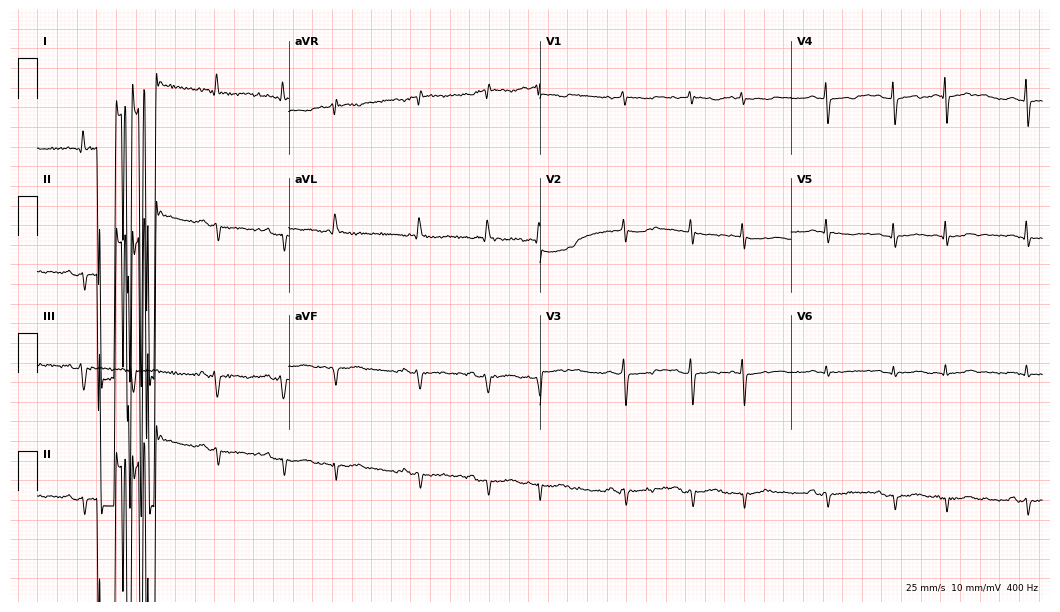
12-lead ECG from a 78-year-old female (10.2-second recording at 400 Hz). No first-degree AV block, right bundle branch block, left bundle branch block, sinus bradycardia, atrial fibrillation or sinus tachycardia recorded for this tracing.